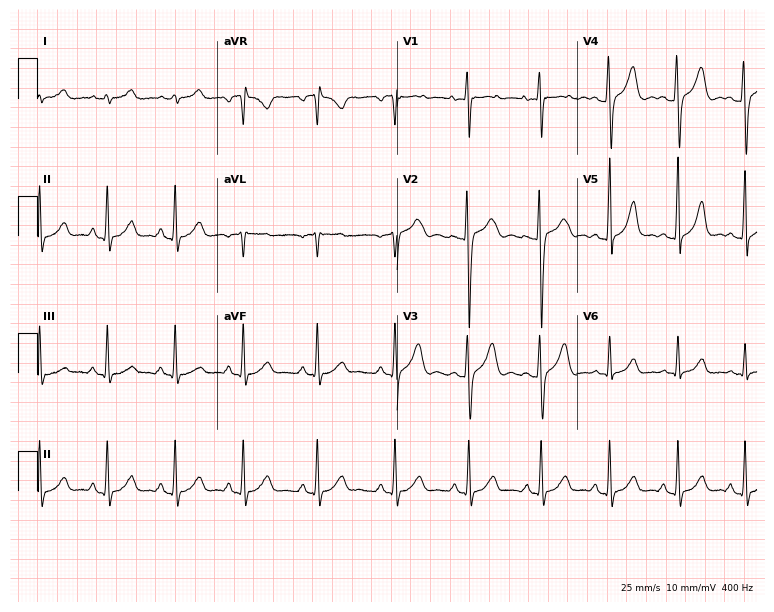
Electrocardiogram, a man, 19 years old. Overall reading on record: normal ECG.